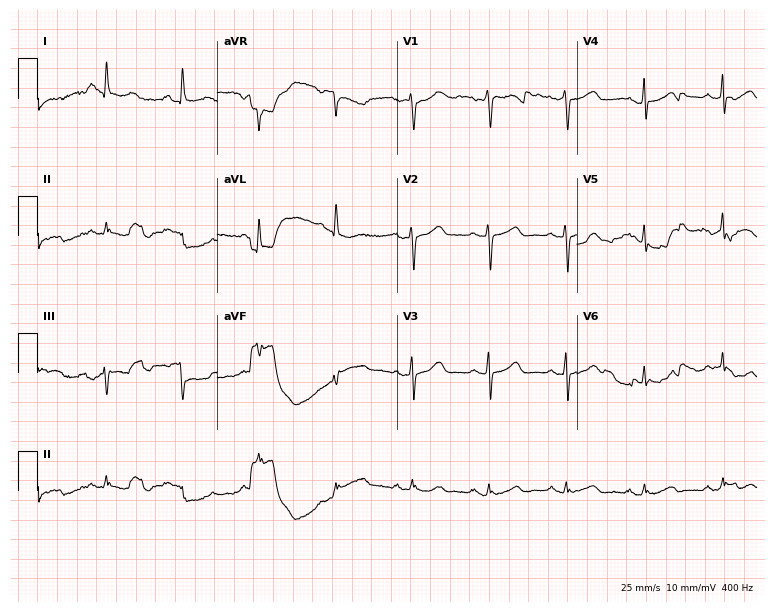
Standard 12-lead ECG recorded from a female patient, 55 years old (7.3-second recording at 400 Hz). None of these six findings is recorded: first-degree AV block, right bundle branch block, left bundle branch block, sinus bradycardia, atrial fibrillation, sinus tachycardia.